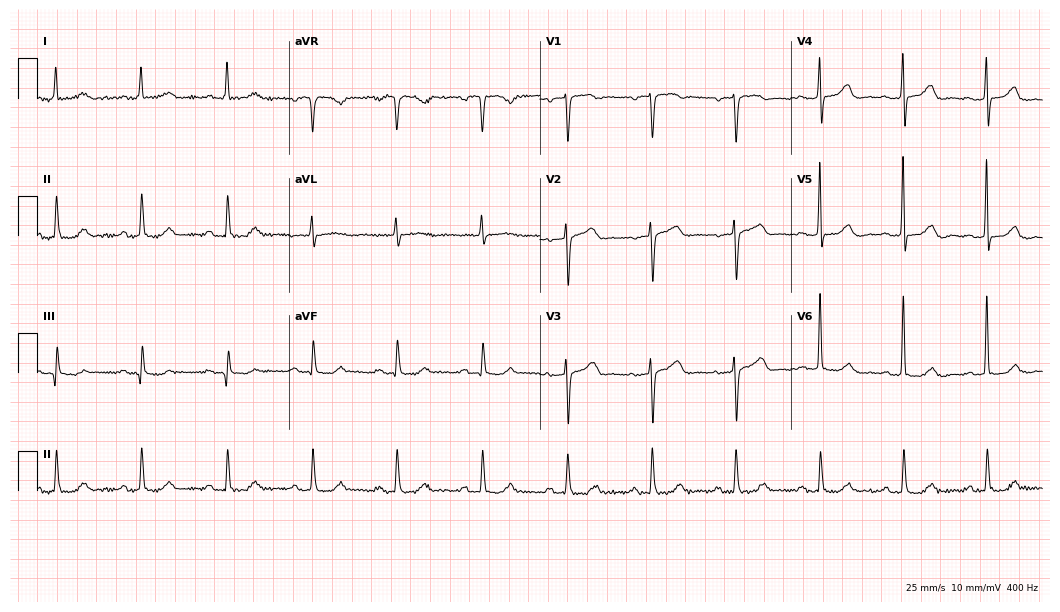
ECG (10.2-second recording at 400 Hz) — a female, 71 years old. Labelled as a normal ECG.